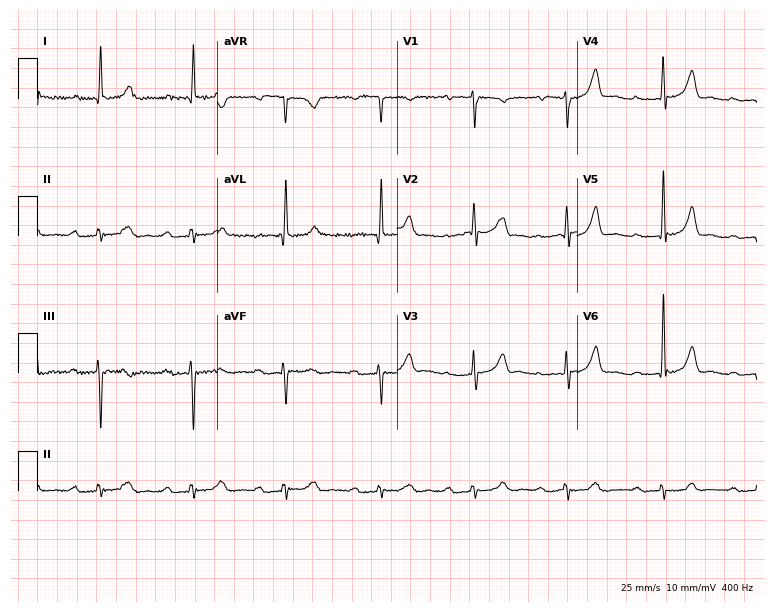
12-lead ECG from a male patient, 82 years old. Shows first-degree AV block.